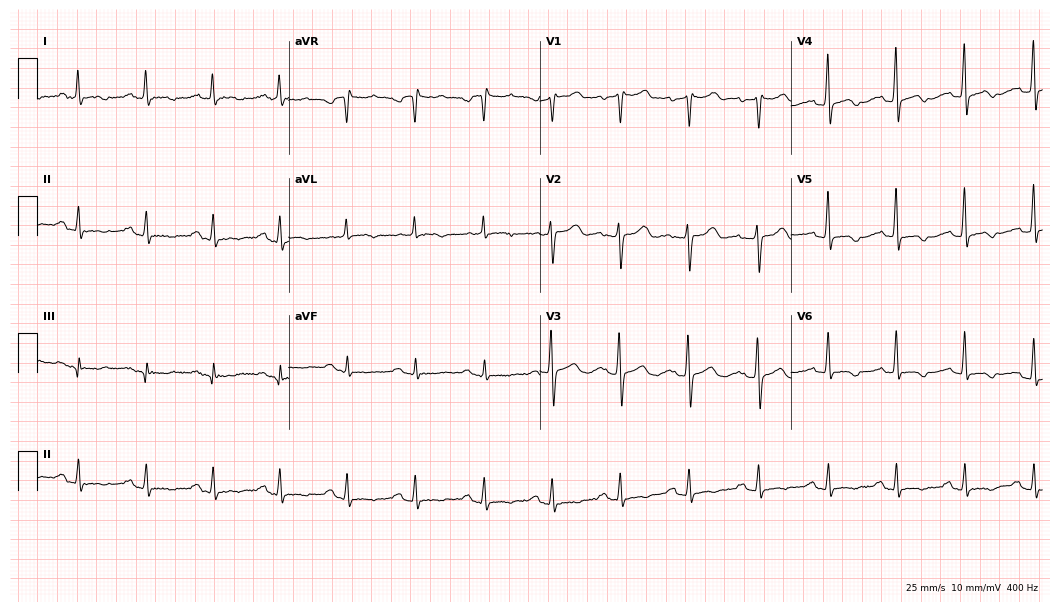
Electrocardiogram, a 63-year-old female patient. Overall reading on record: normal ECG.